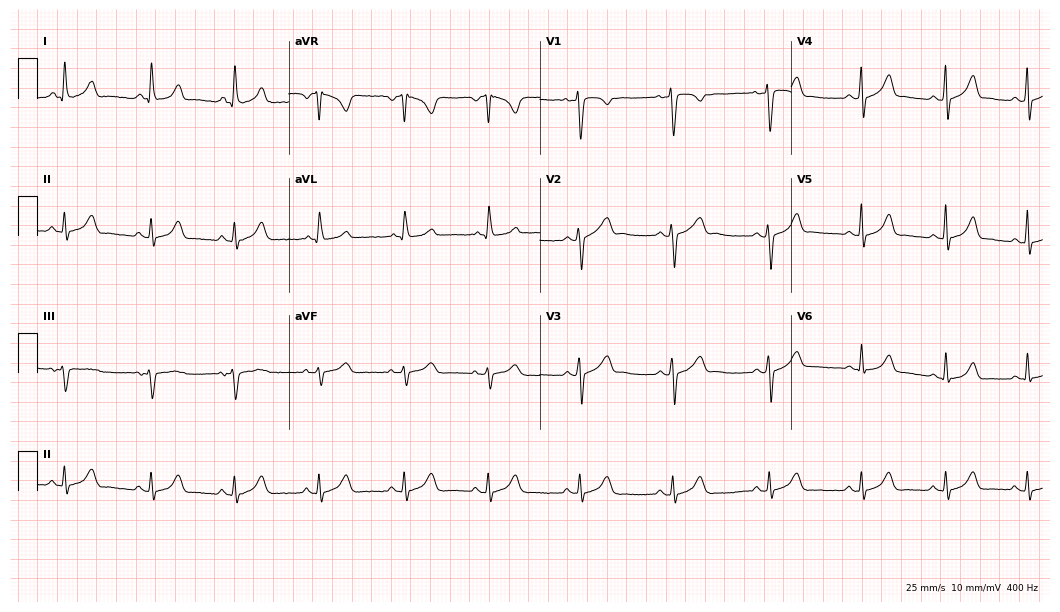
Resting 12-lead electrocardiogram. Patient: a 17-year-old woman. Read as a normal ECG.